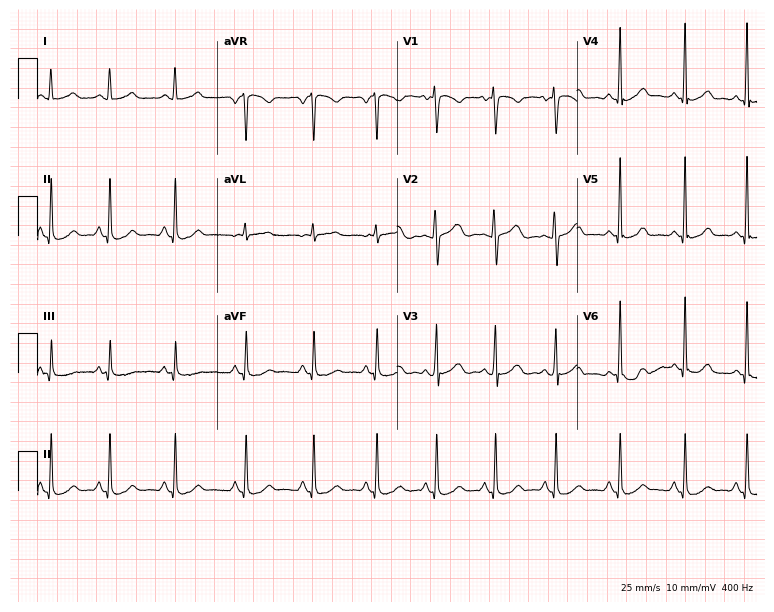
Standard 12-lead ECG recorded from a 38-year-old female (7.3-second recording at 400 Hz). Read as a normal ECG.